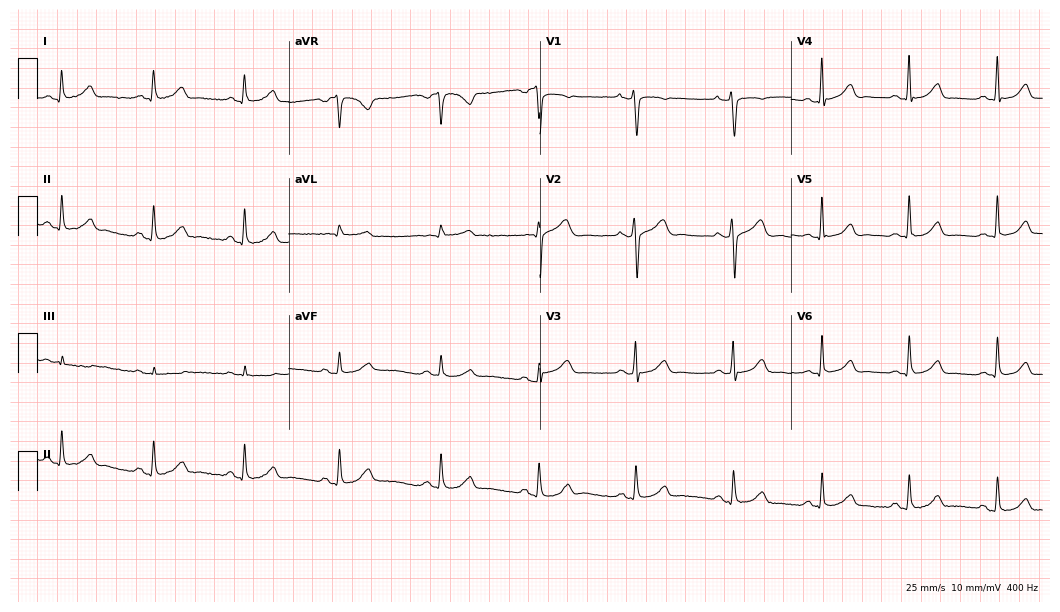
12-lead ECG (10.2-second recording at 400 Hz) from a 32-year-old female. Labelled as a normal ECG.